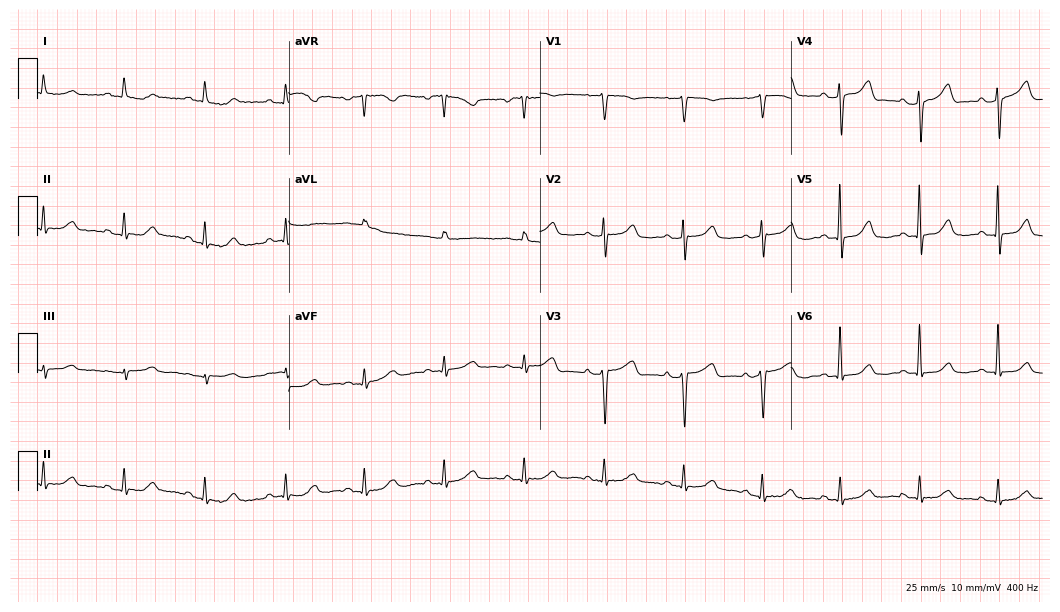
12-lead ECG (10.2-second recording at 400 Hz) from a 69-year-old female. Labelled as a normal ECG.